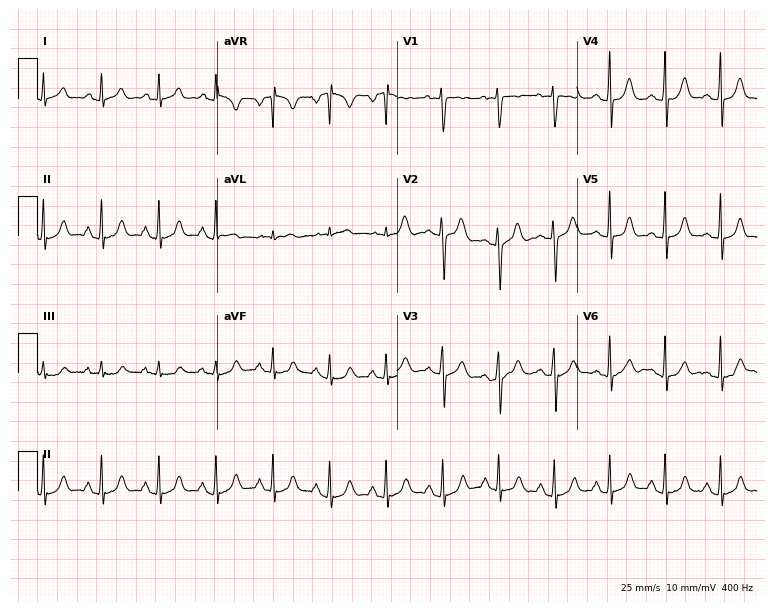
Standard 12-lead ECG recorded from a 22-year-old female. Read as a normal ECG.